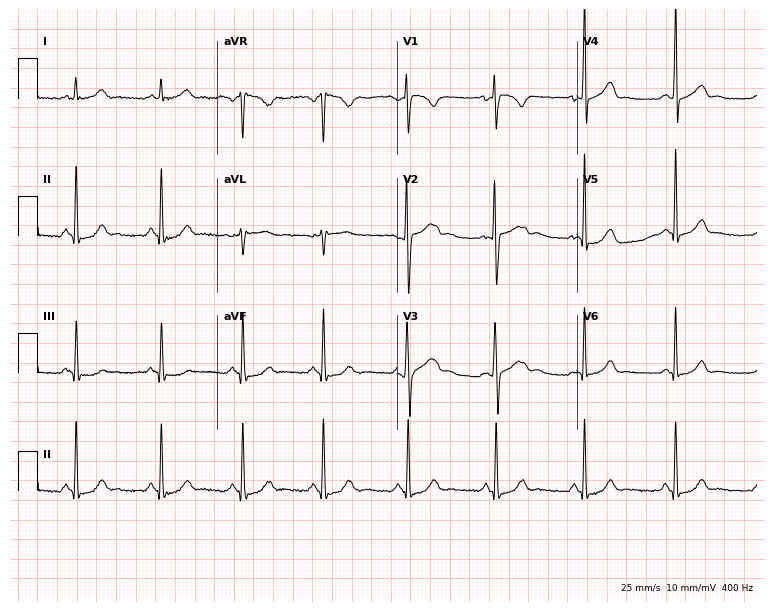
12-lead ECG from a 27-year-old woman. Screened for six findings — first-degree AV block, right bundle branch block (RBBB), left bundle branch block (LBBB), sinus bradycardia, atrial fibrillation (AF), sinus tachycardia — none is recorded. Findings outside these six are not listed.